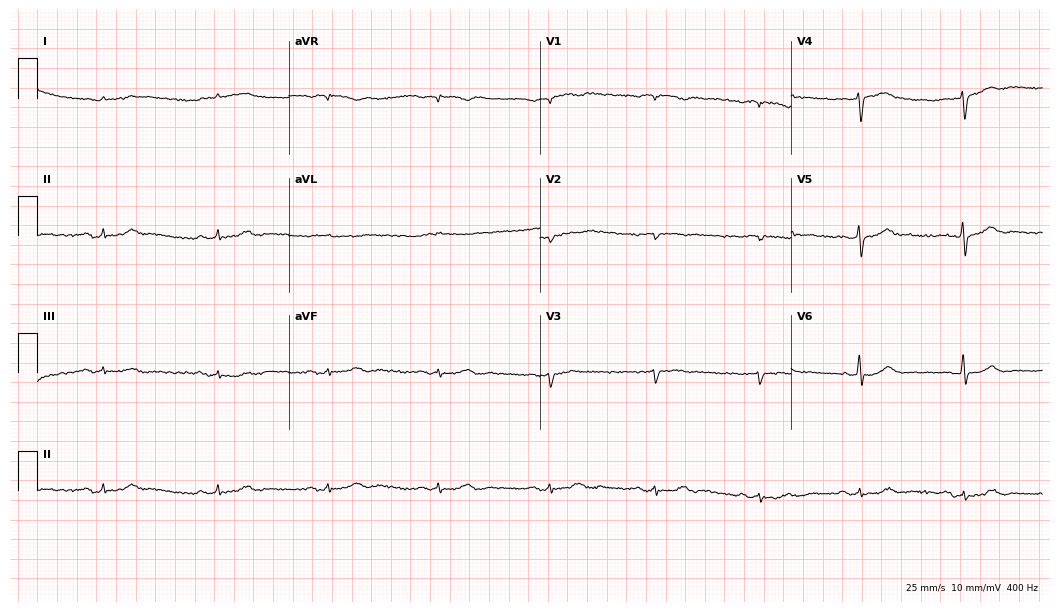
Resting 12-lead electrocardiogram. Patient: a male, 84 years old. None of these six findings is recorded: first-degree AV block, right bundle branch block, left bundle branch block, sinus bradycardia, atrial fibrillation, sinus tachycardia. Other findings, if any, are not listed.